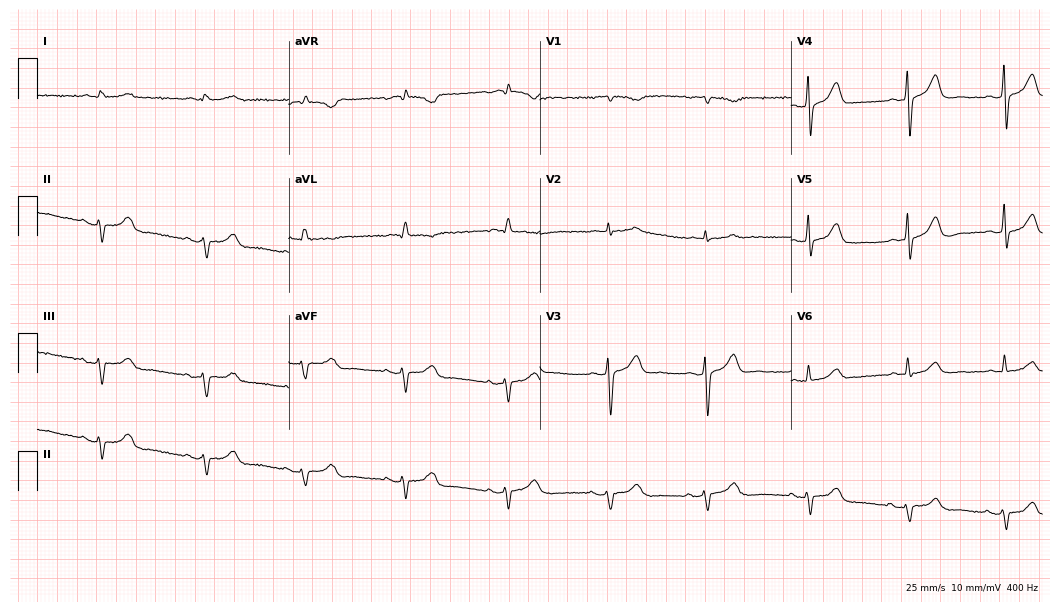
12-lead ECG from a 75-year-old male. No first-degree AV block, right bundle branch block, left bundle branch block, sinus bradycardia, atrial fibrillation or sinus tachycardia recorded for this tracing.